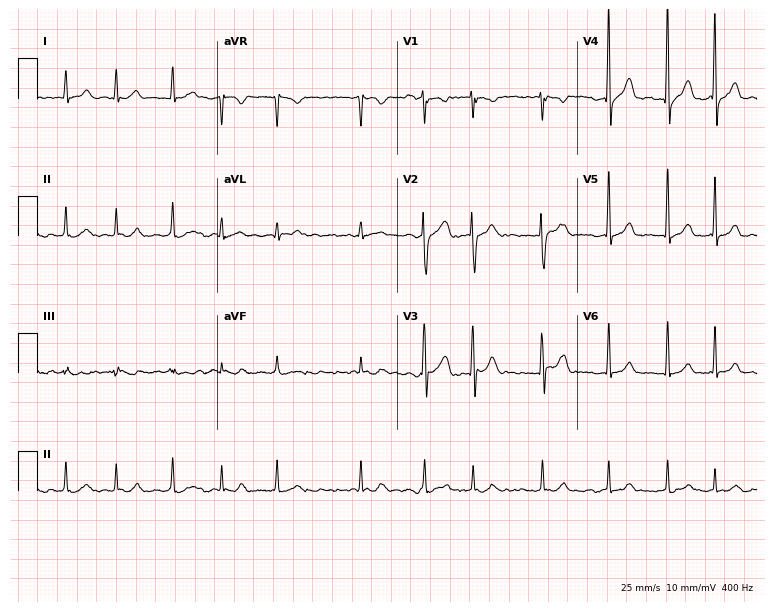
12-lead ECG from a 49-year-old female patient. Shows atrial fibrillation.